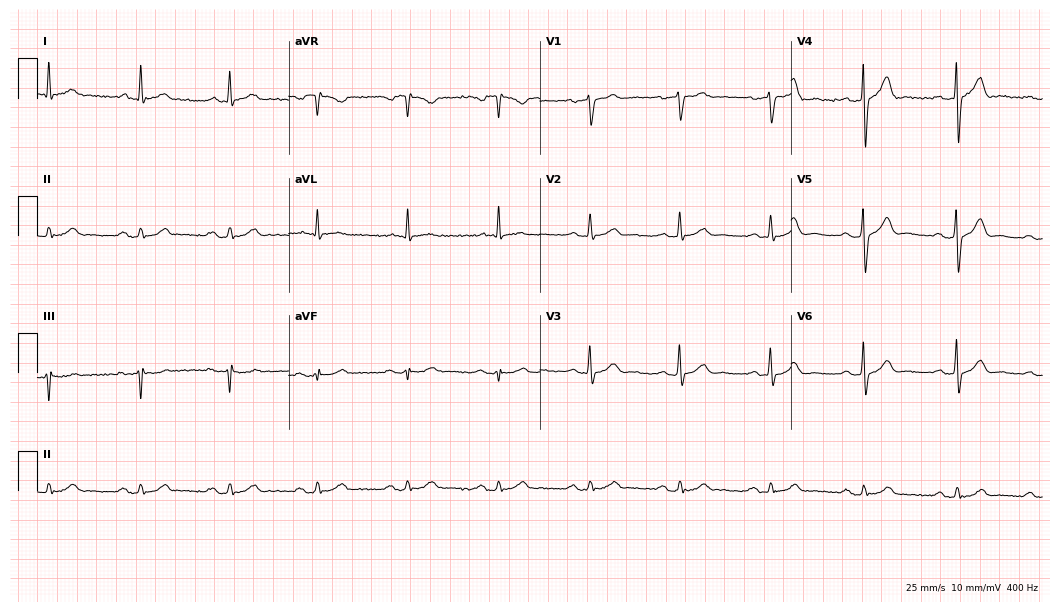
Electrocardiogram, a 53-year-old man. Of the six screened findings (first-degree AV block, right bundle branch block (RBBB), left bundle branch block (LBBB), sinus bradycardia, atrial fibrillation (AF), sinus tachycardia), none is recorded. Other findings, if any, are not listed.